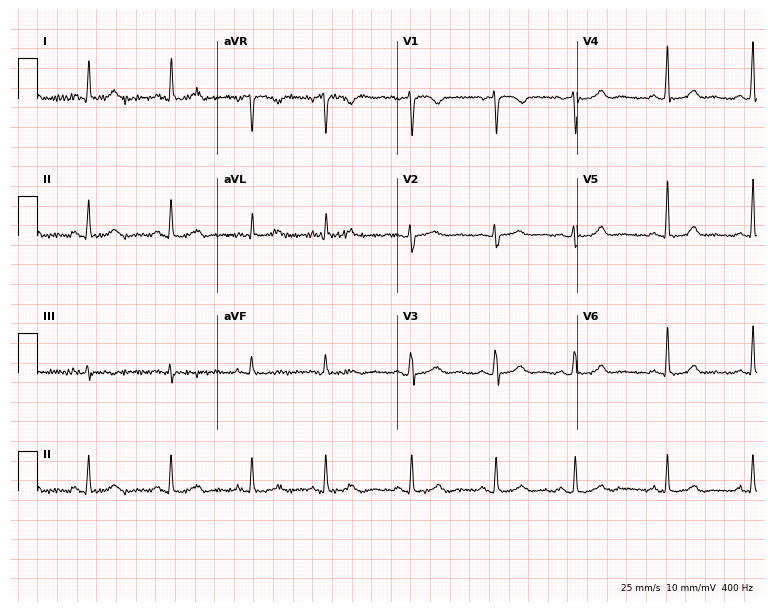
Standard 12-lead ECG recorded from a female, 27 years old (7.3-second recording at 400 Hz). Read as a normal ECG.